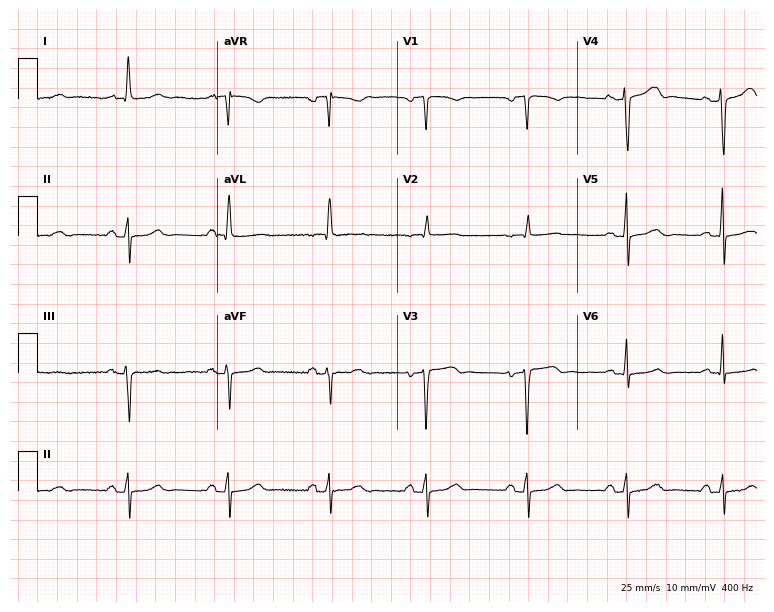
12-lead ECG from an 84-year-old female patient. Screened for six findings — first-degree AV block, right bundle branch block, left bundle branch block, sinus bradycardia, atrial fibrillation, sinus tachycardia — none is recorded.